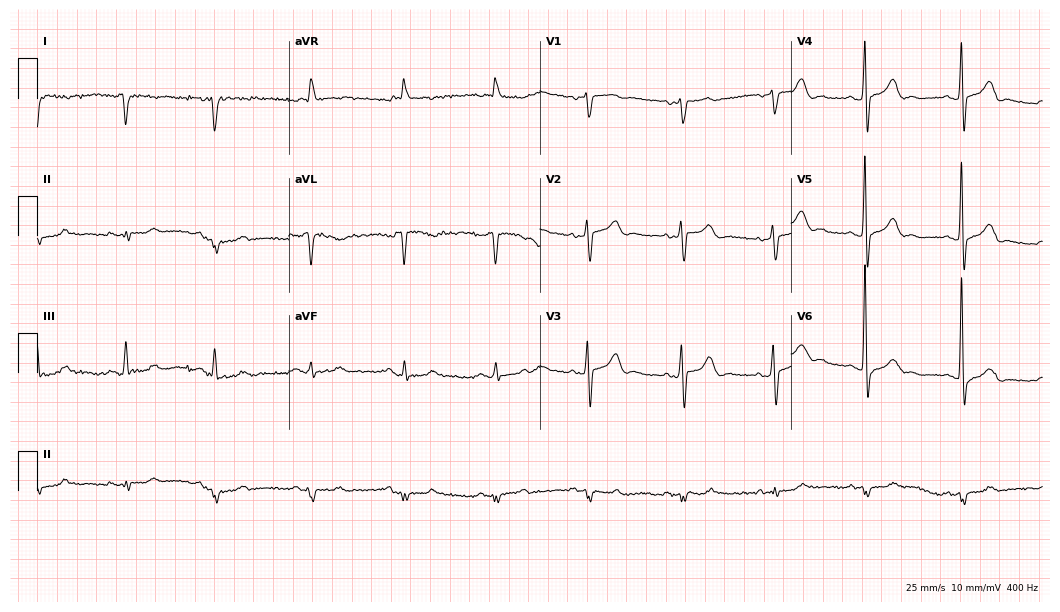
Standard 12-lead ECG recorded from a male patient, 75 years old. None of these six findings is recorded: first-degree AV block, right bundle branch block, left bundle branch block, sinus bradycardia, atrial fibrillation, sinus tachycardia.